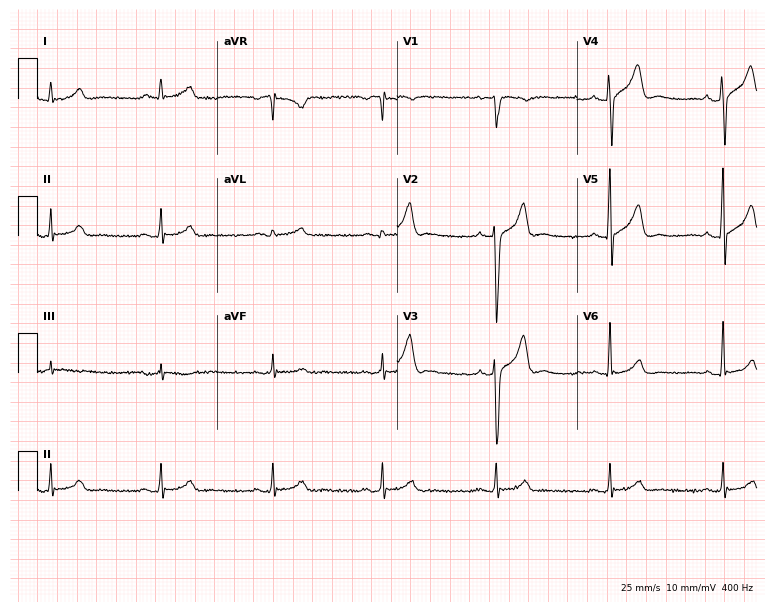
Resting 12-lead electrocardiogram. Patient: a man, 47 years old. Read as a normal ECG.